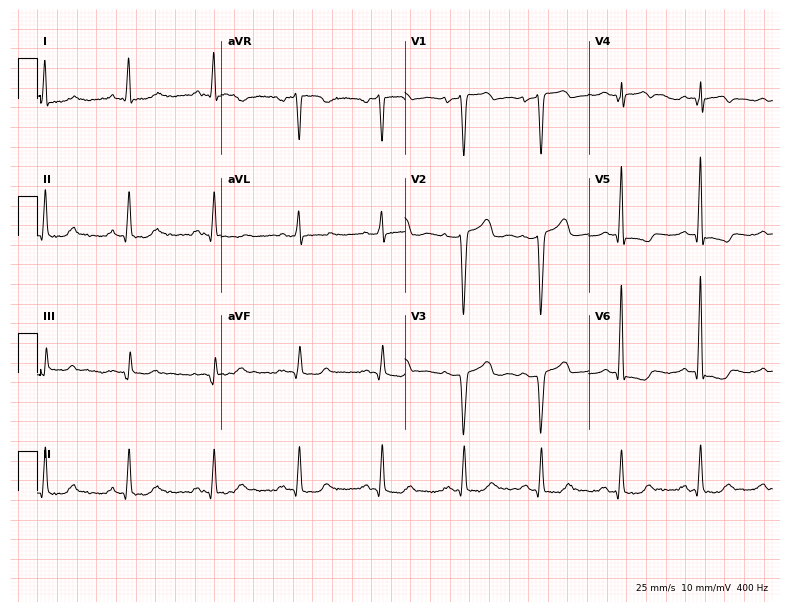
12-lead ECG from a 56-year-old female patient. Screened for six findings — first-degree AV block, right bundle branch block, left bundle branch block, sinus bradycardia, atrial fibrillation, sinus tachycardia — none is recorded. Other findings, if any, are not listed.